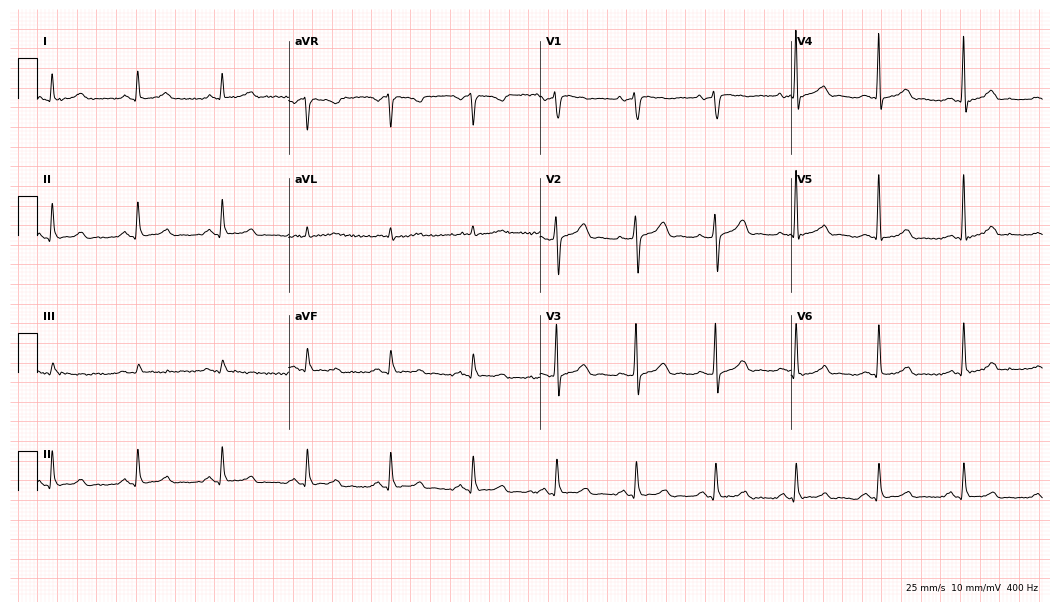
Electrocardiogram (10.2-second recording at 400 Hz), a 68-year-old man. Overall reading on record: normal ECG.